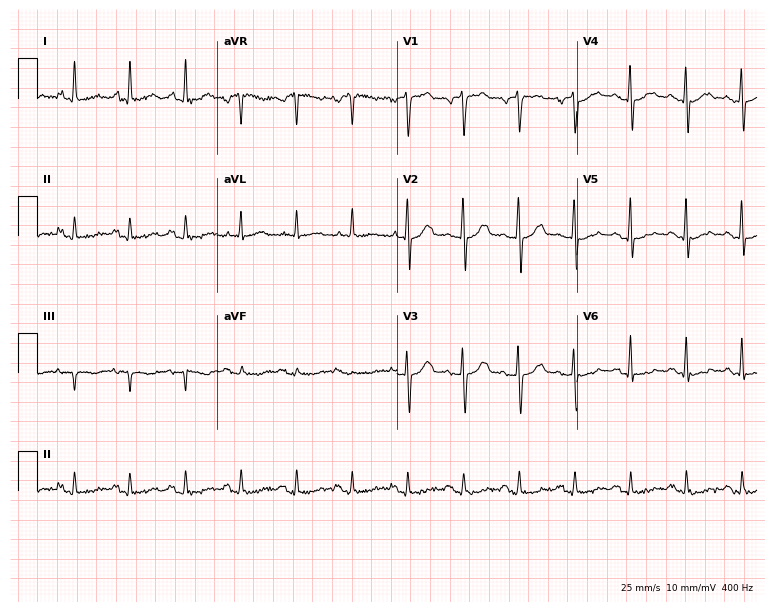
12-lead ECG from a 66-year-old male. Screened for six findings — first-degree AV block, right bundle branch block, left bundle branch block, sinus bradycardia, atrial fibrillation, sinus tachycardia — none is recorded.